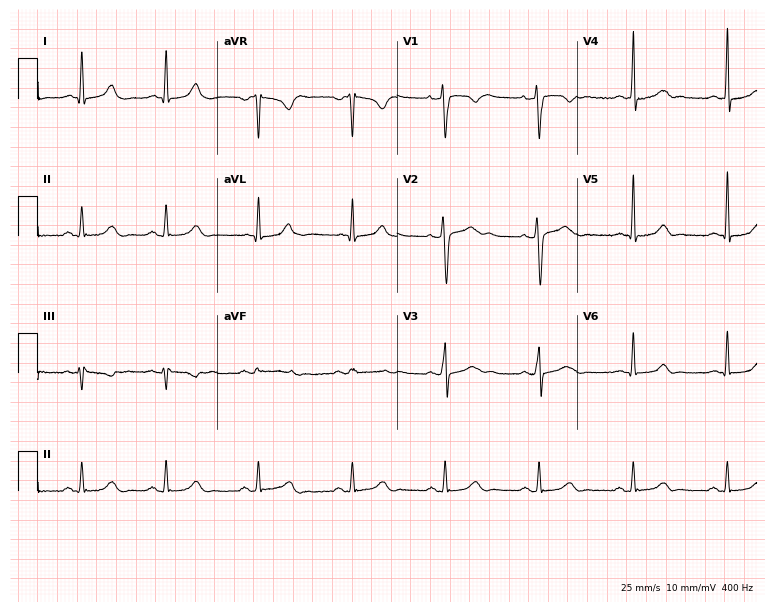
Resting 12-lead electrocardiogram (7.3-second recording at 400 Hz). Patient: a male, 42 years old. Read as a normal ECG.